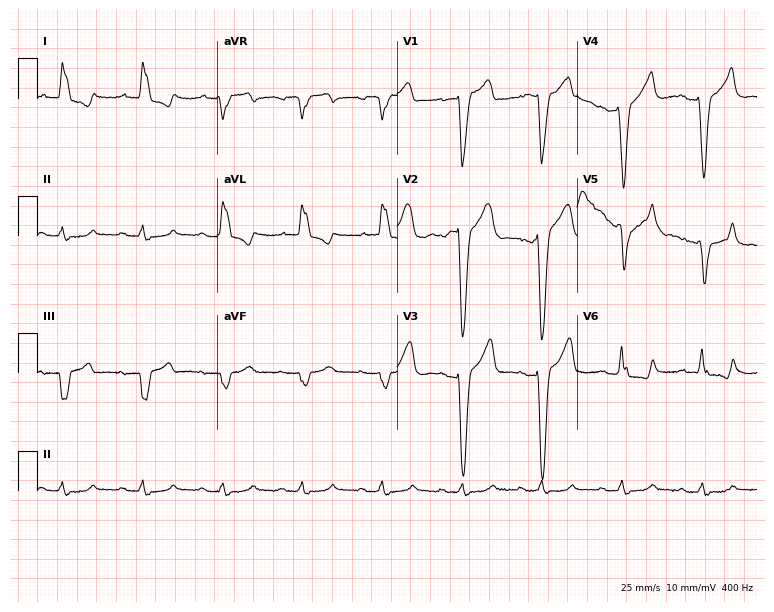
ECG (7.3-second recording at 400 Hz) — an 82-year-old man. Findings include left bundle branch block.